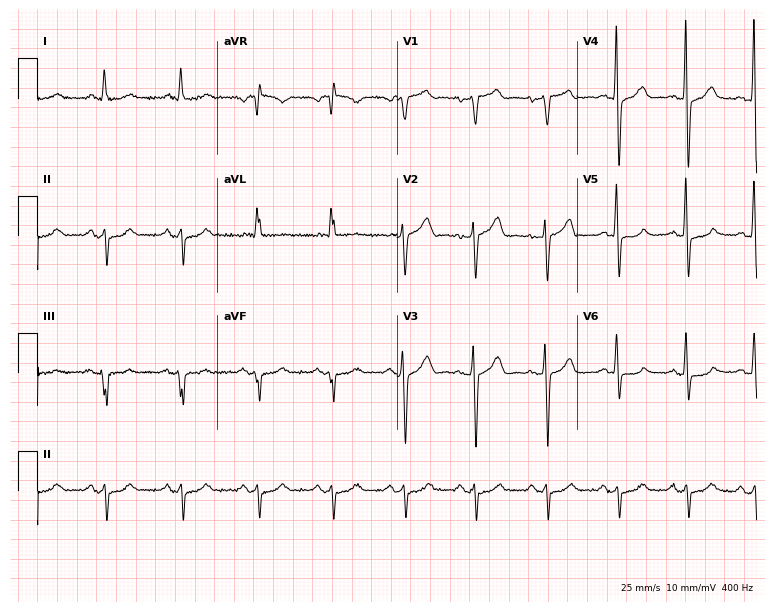
Resting 12-lead electrocardiogram (7.3-second recording at 400 Hz). Patient: a 71-year-old male. None of these six findings is recorded: first-degree AV block, right bundle branch block, left bundle branch block, sinus bradycardia, atrial fibrillation, sinus tachycardia.